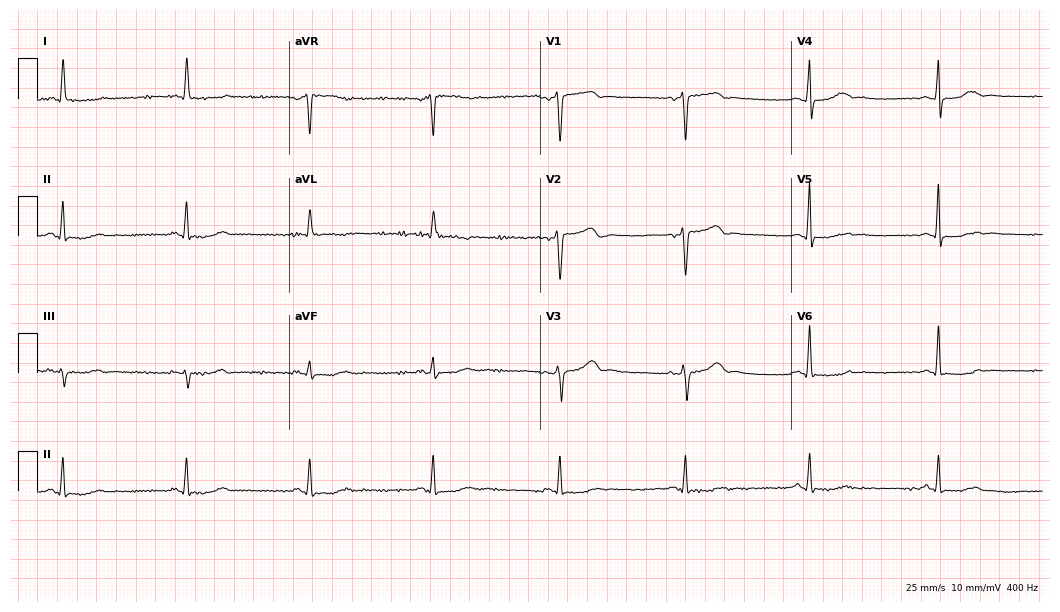
Electrocardiogram (10.2-second recording at 400 Hz), a woman, 64 years old. Interpretation includes sinus bradycardia (a sinus rate of 50 beats per minute or less).